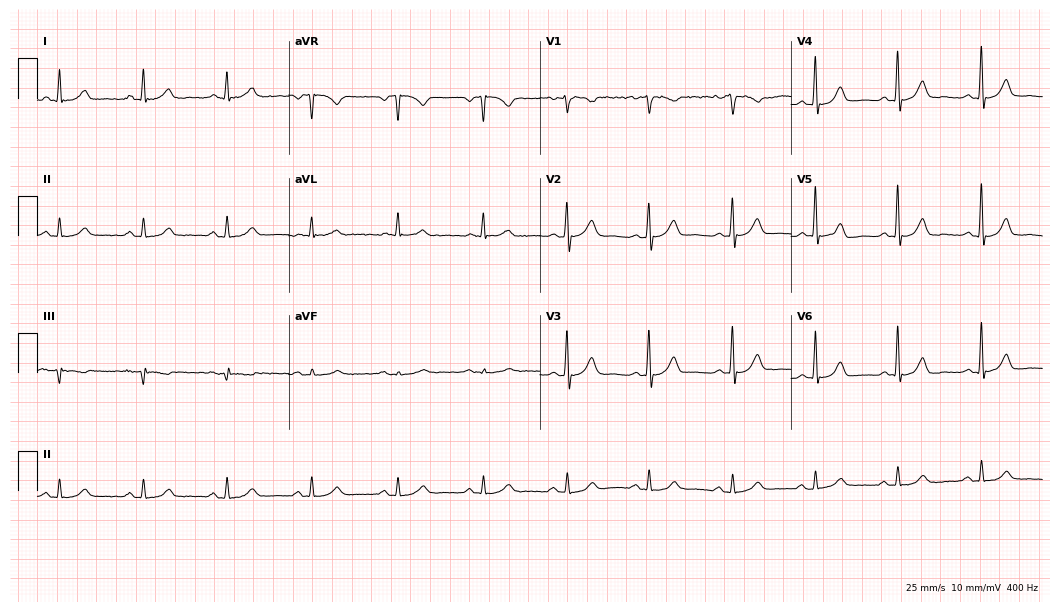
ECG (10.2-second recording at 400 Hz) — a woman, 48 years old. Labelled as a normal ECG.